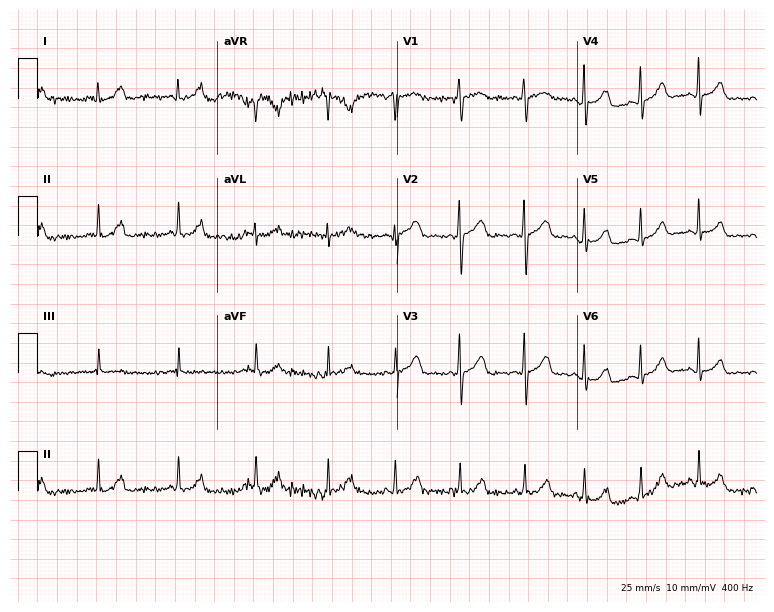
Electrocardiogram, a woman, 21 years old. Of the six screened findings (first-degree AV block, right bundle branch block, left bundle branch block, sinus bradycardia, atrial fibrillation, sinus tachycardia), none is recorded. Findings outside these six are not listed.